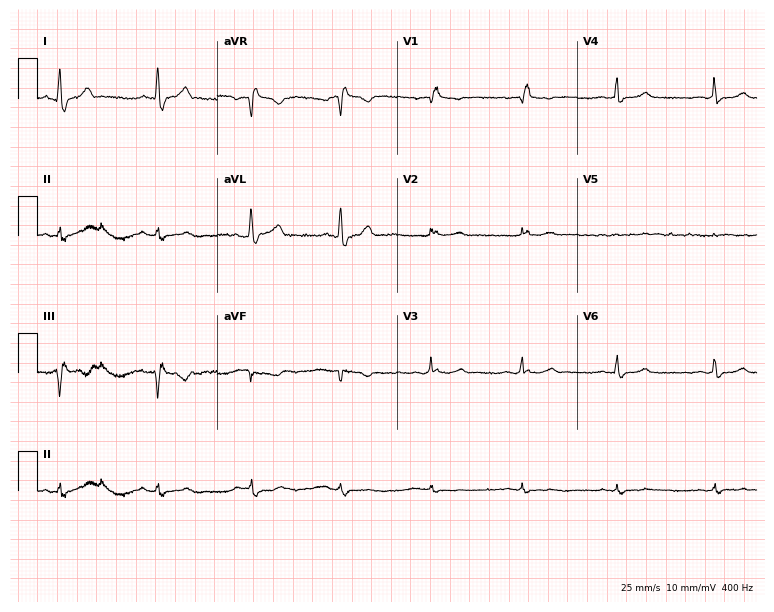
Resting 12-lead electrocardiogram. Patient: a man, 69 years old. None of these six findings is recorded: first-degree AV block, right bundle branch block, left bundle branch block, sinus bradycardia, atrial fibrillation, sinus tachycardia. Findings outside these six are not listed.